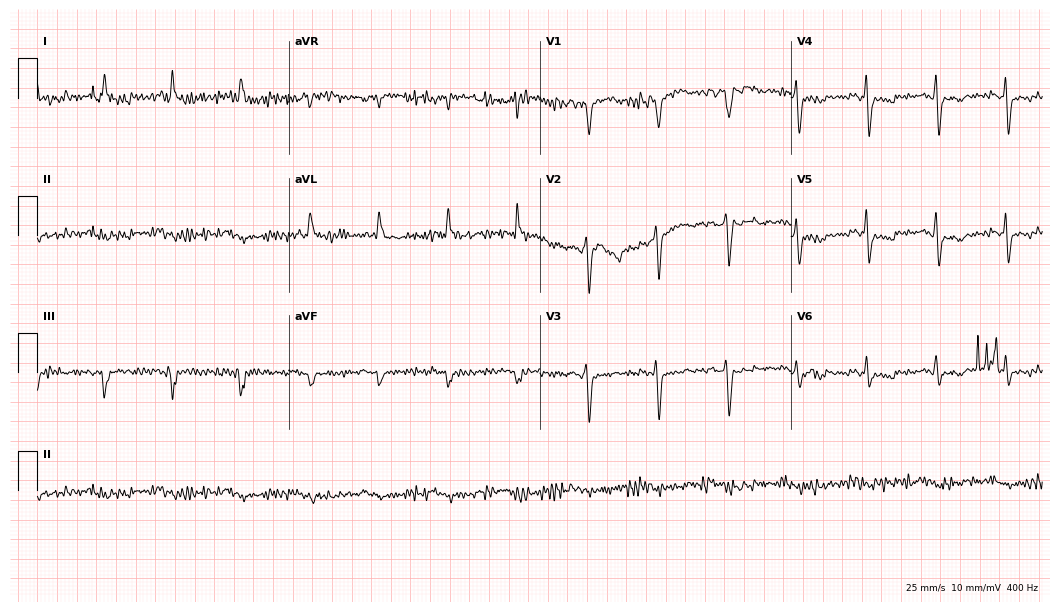
ECG — a 69-year-old male patient. Screened for six findings — first-degree AV block, right bundle branch block (RBBB), left bundle branch block (LBBB), sinus bradycardia, atrial fibrillation (AF), sinus tachycardia — none is recorded.